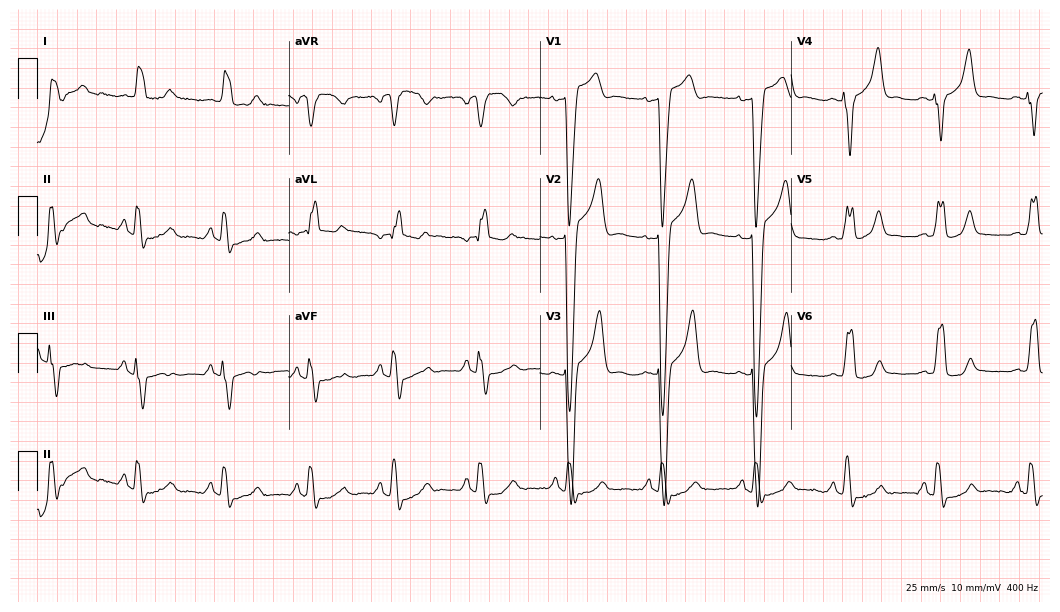
Resting 12-lead electrocardiogram. Patient: a male, 63 years old. The tracing shows left bundle branch block.